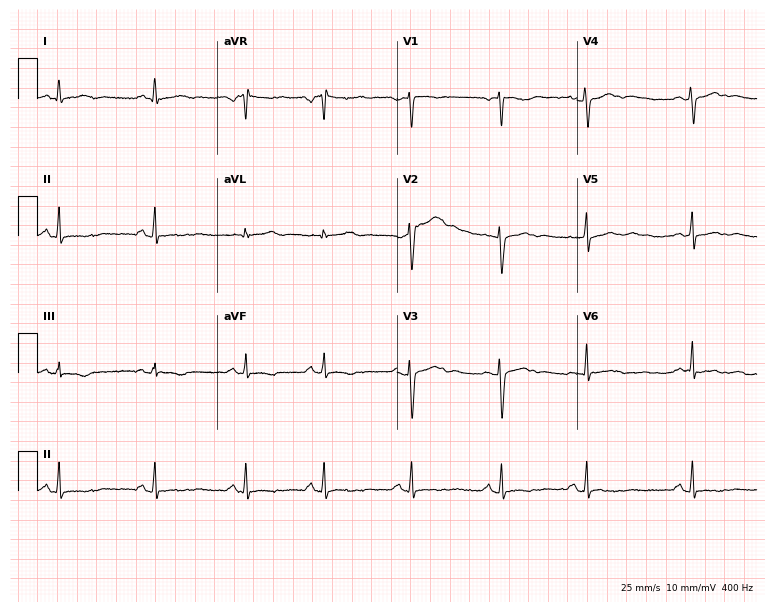
Resting 12-lead electrocardiogram. Patient: a 29-year-old female. None of these six findings is recorded: first-degree AV block, right bundle branch block, left bundle branch block, sinus bradycardia, atrial fibrillation, sinus tachycardia. Other findings, if any, are not listed.